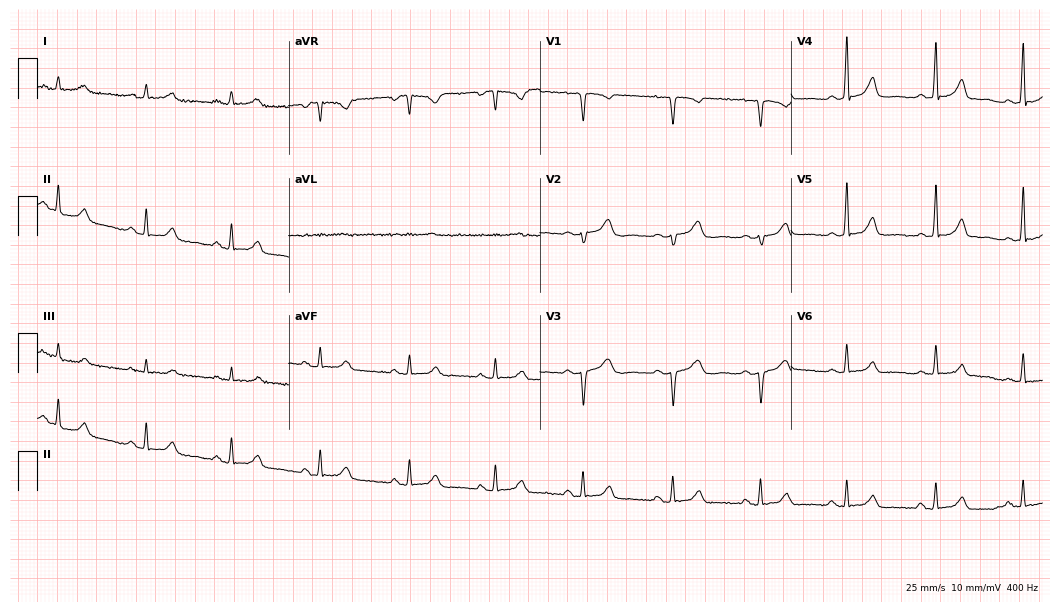
12-lead ECG from a 35-year-old female patient. No first-degree AV block, right bundle branch block, left bundle branch block, sinus bradycardia, atrial fibrillation or sinus tachycardia recorded for this tracing.